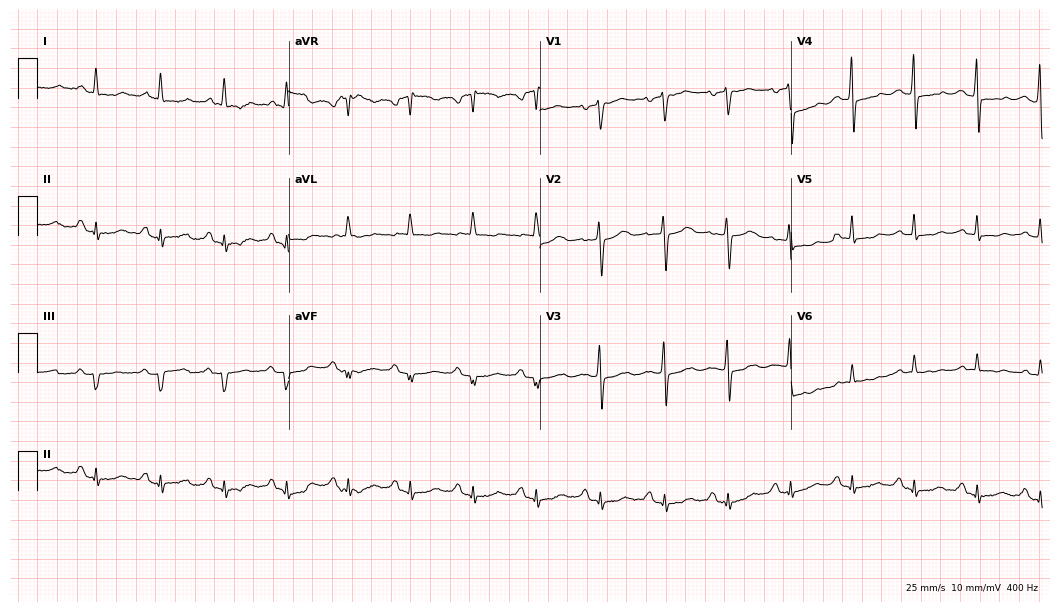
Standard 12-lead ECG recorded from a 51-year-old woman (10.2-second recording at 400 Hz). None of these six findings is recorded: first-degree AV block, right bundle branch block (RBBB), left bundle branch block (LBBB), sinus bradycardia, atrial fibrillation (AF), sinus tachycardia. Other findings, if any, are not listed.